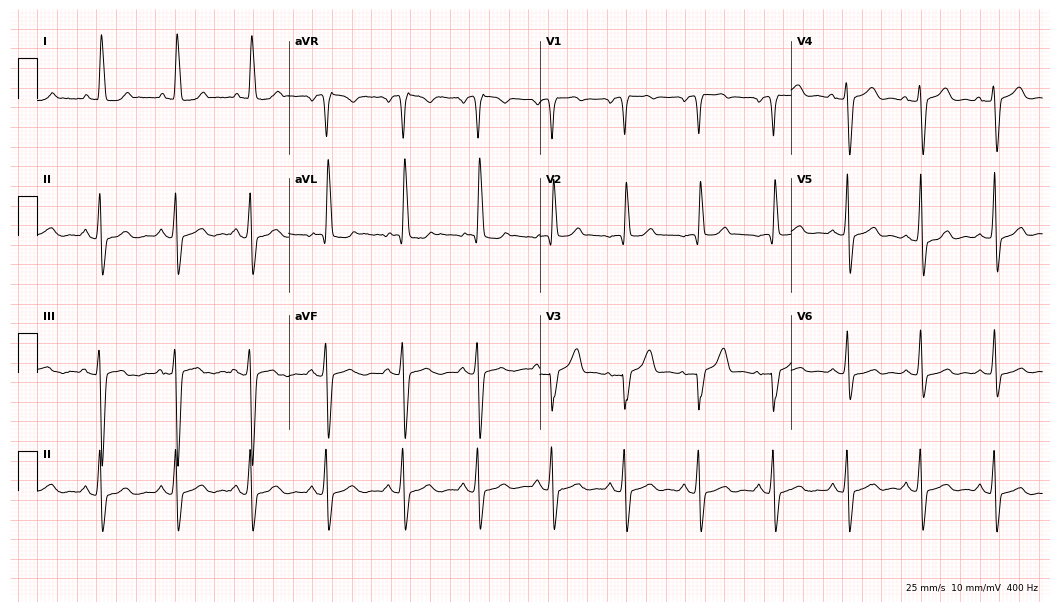
ECG — a woman, 75 years old. Screened for six findings — first-degree AV block, right bundle branch block, left bundle branch block, sinus bradycardia, atrial fibrillation, sinus tachycardia — none is recorded. Findings outside these six are not listed.